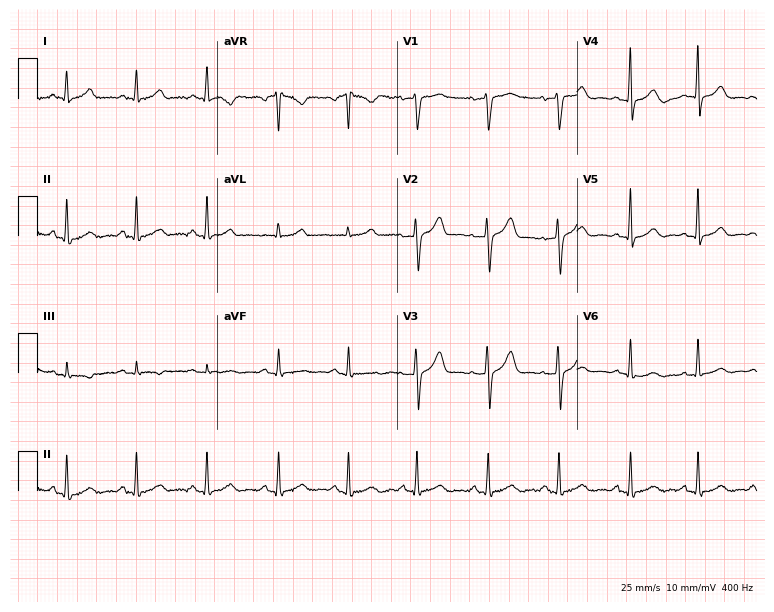
12-lead ECG from a woman, 39 years old. Labelled as a normal ECG.